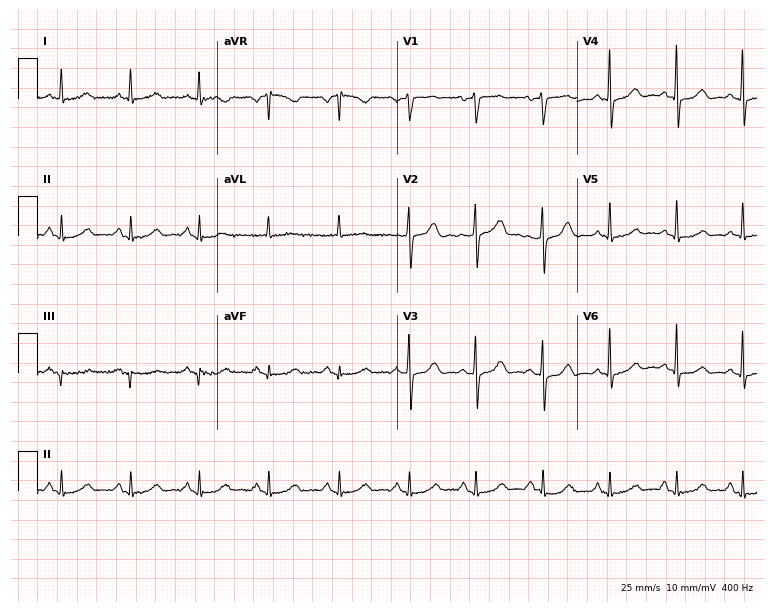
ECG (7.3-second recording at 400 Hz) — a 70-year-old woman. Labelled as a normal ECG.